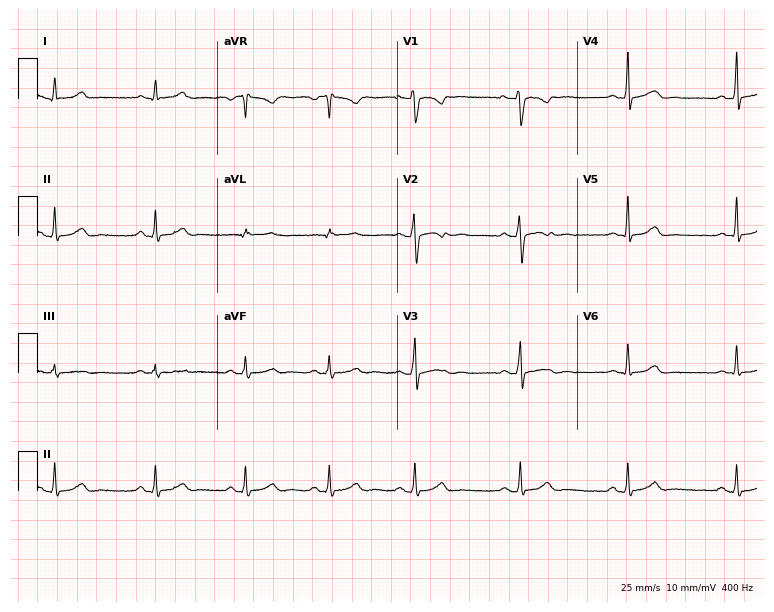
Resting 12-lead electrocardiogram (7.3-second recording at 400 Hz). Patient: a 24-year-old woman. None of these six findings is recorded: first-degree AV block, right bundle branch block (RBBB), left bundle branch block (LBBB), sinus bradycardia, atrial fibrillation (AF), sinus tachycardia. Other findings, if any, are not listed.